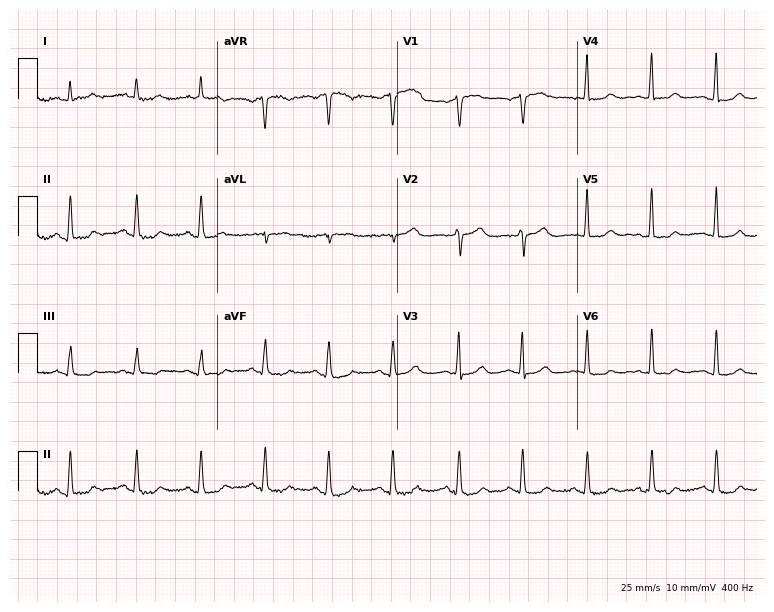
12-lead ECG from a 76-year-old female patient. Screened for six findings — first-degree AV block, right bundle branch block, left bundle branch block, sinus bradycardia, atrial fibrillation, sinus tachycardia — none is recorded. Findings outside these six are not listed.